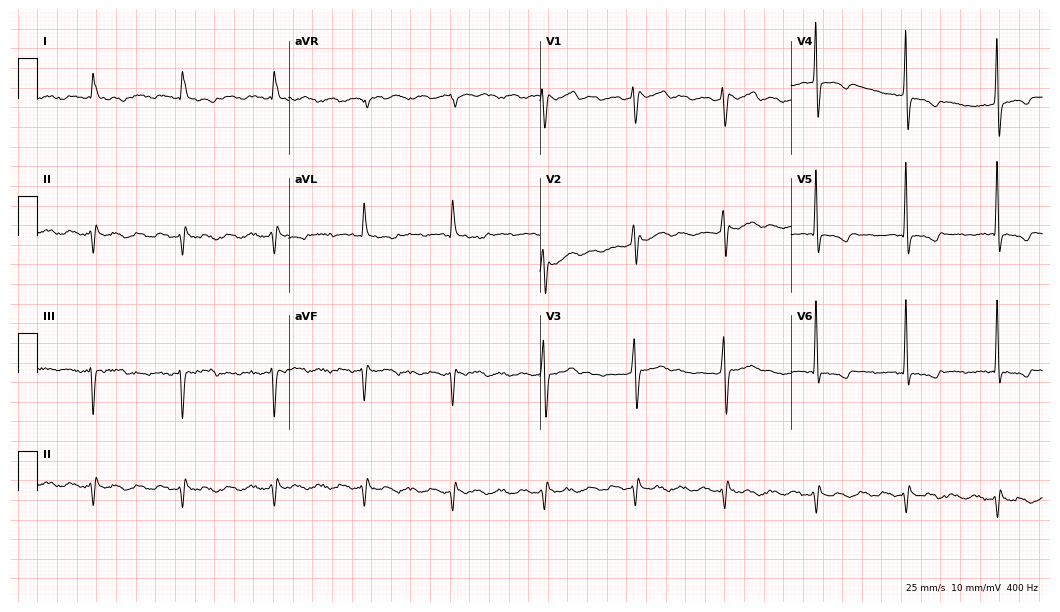
12-lead ECG from a man, 54 years old. Screened for six findings — first-degree AV block, right bundle branch block, left bundle branch block, sinus bradycardia, atrial fibrillation, sinus tachycardia — none is recorded. Findings outside these six are not listed.